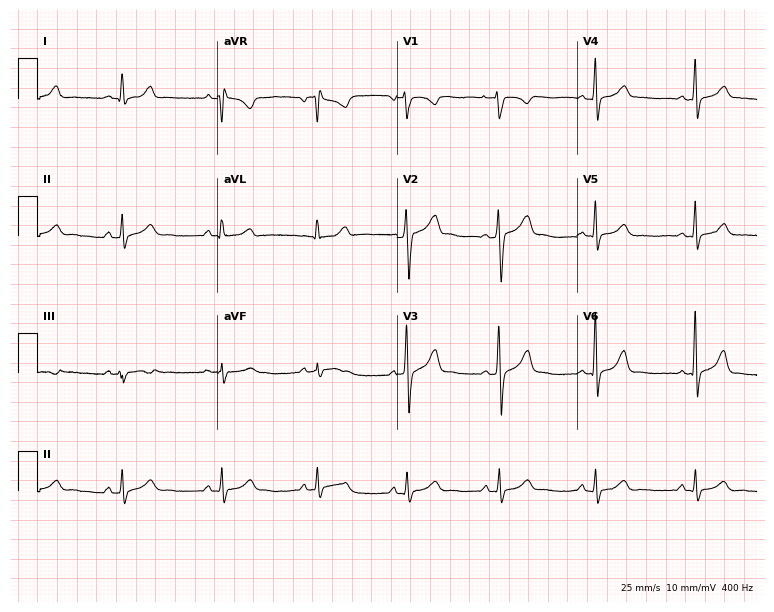
Standard 12-lead ECG recorded from a 22-year-old female. None of these six findings is recorded: first-degree AV block, right bundle branch block, left bundle branch block, sinus bradycardia, atrial fibrillation, sinus tachycardia. Other findings, if any, are not listed.